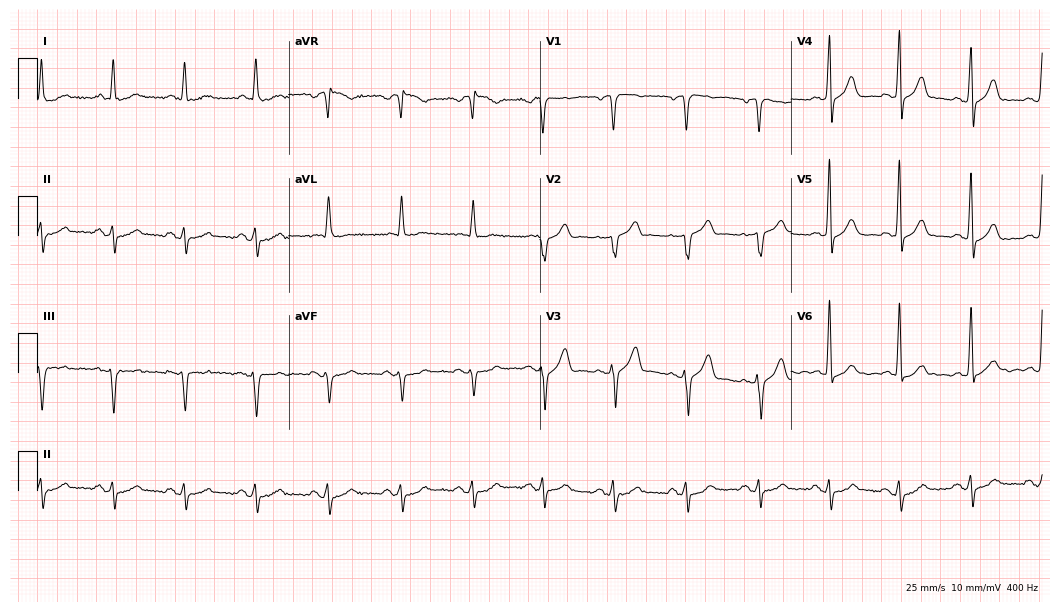
12-lead ECG from a male, 72 years old. Screened for six findings — first-degree AV block, right bundle branch block, left bundle branch block, sinus bradycardia, atrial fibrillation, sinus tachycardia — none is recorded. Other findings, if any, are not listed.